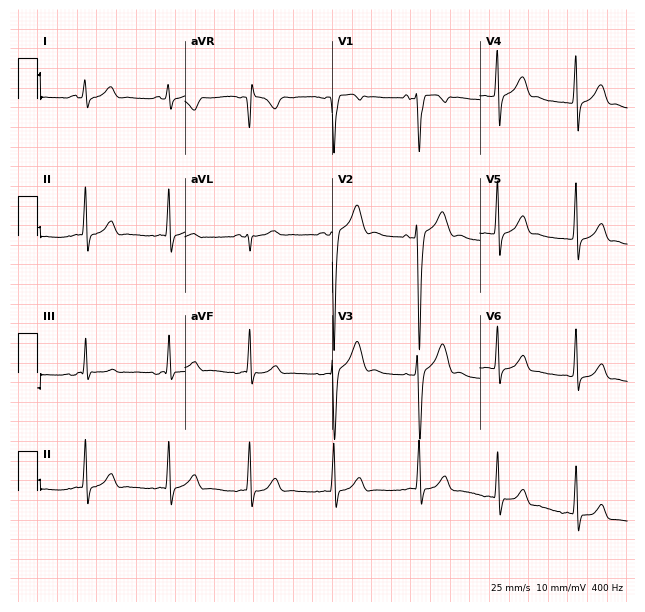
Standard 12-lead ECG recorded from a male, 34 years old. None of these six findings is recorded: first-degree AV block, right bundle branch block, left bundle branch block, sinus bradycardia, atrial fibrillation, sinus tachycardia.